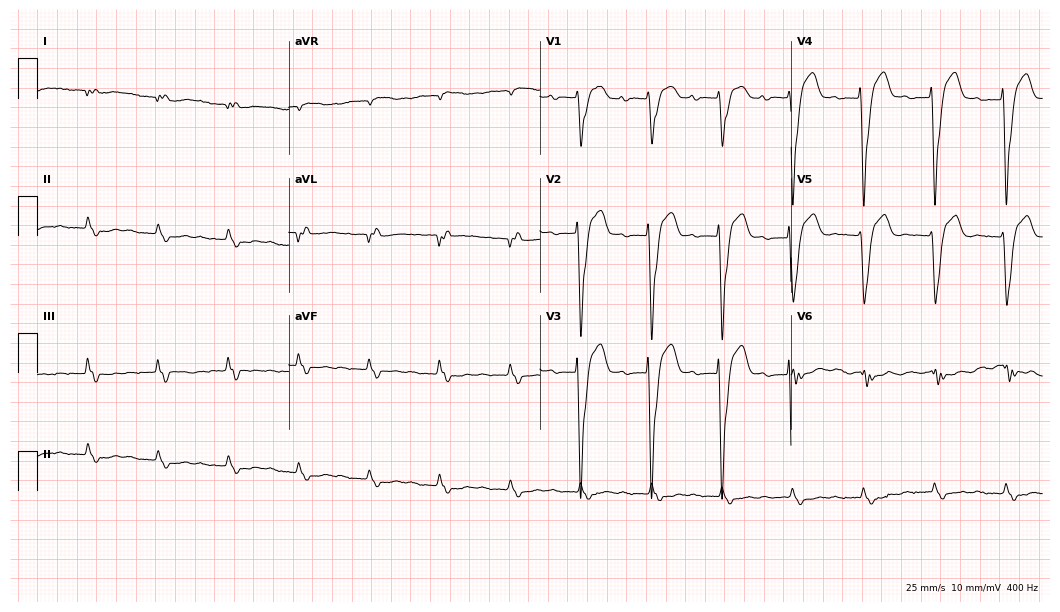
Electrocardiogram, a 79-year-old female patient. Interpretation includes first-degree AV block, left bundle branch block (LBBB).